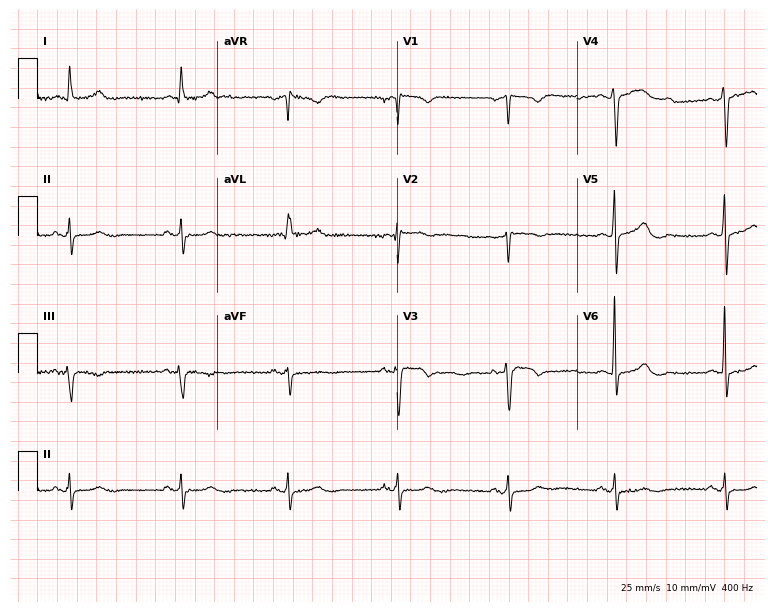
12-lead ECG from a female, 77 years old. Labelled as a normal ECG.